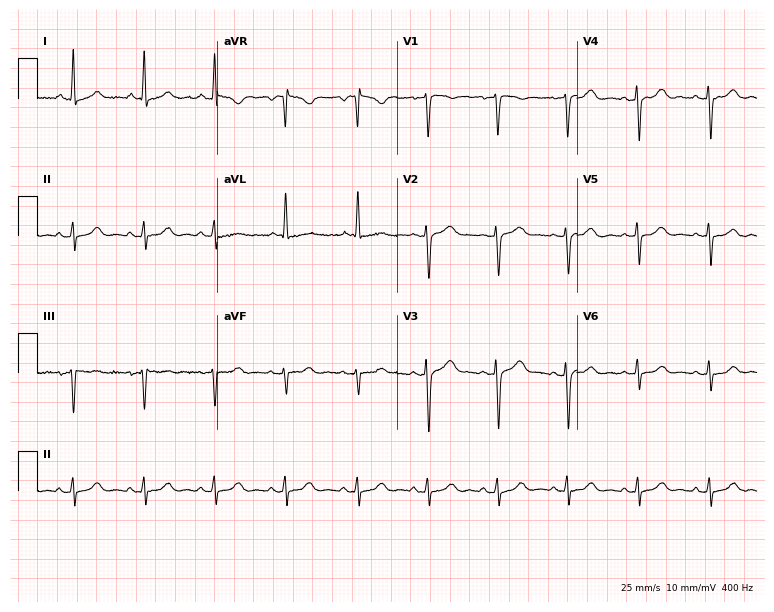
Resting 12-lead electrocardiogram (7.3-second recording at 400 Hz). Patient: a female, 52 years old. None of these six findings is recorded: first-degree AV block, right bundle branch block, left bundle branch block, sinus bradycardia, atrial fibrillation, sinus tachycardia. Findings outside these six are not listed.